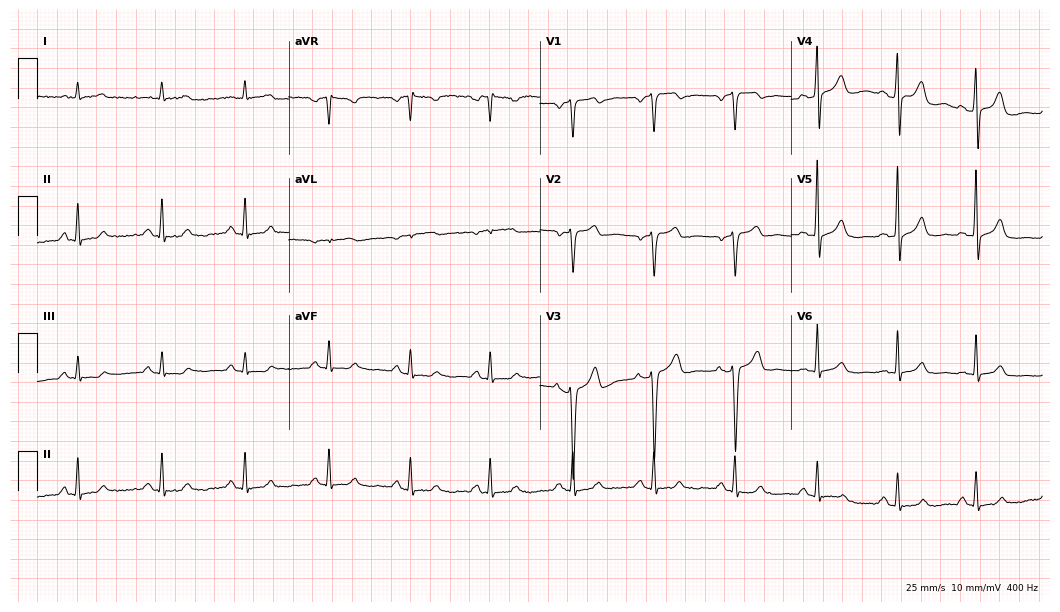
Electrocardiogram, a male, 62 years old. Overall reading on record: normal ECG.